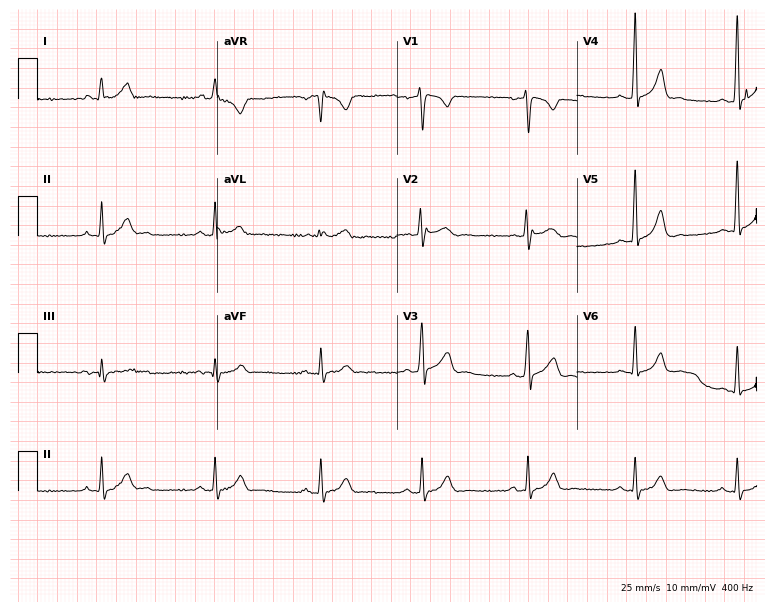
Resting 12-lead electrocardiogram (7.3-second recording at 400 Hz). Patient: a 30-year-old male. None of these six findings is recorded: first-degree AV block, right bundle branch block, left bundle branch block, sinus bradycardia, atrial fibrillation, sinus tachycardia. Findings outside these six are not listed.